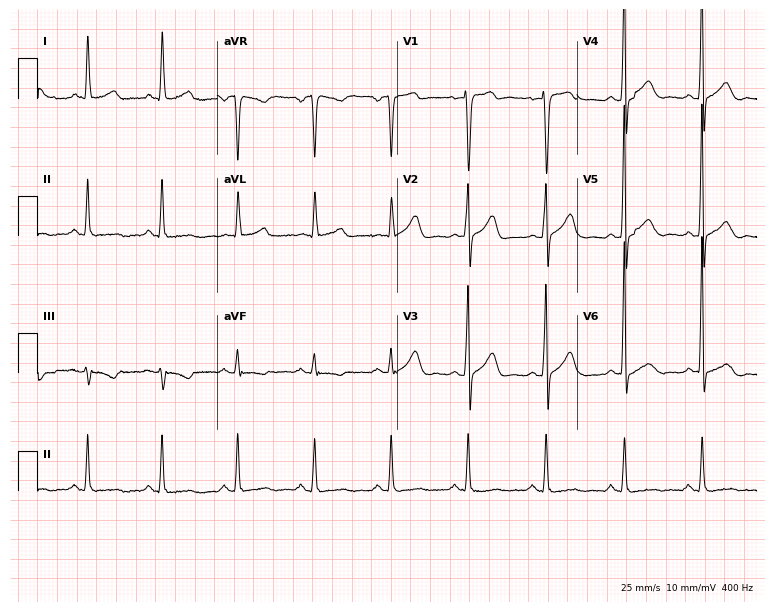
Electrocardiogram (7.3-second recording at 400 Hz), a 68-year-old man. Of the six screened findings (first-degree AV block, right bundle branch block, left bundle branch block, sinus bradycardia, atrial fibrillation, sinus tachycardia), none is recorded. Findings outside these six are not listed.